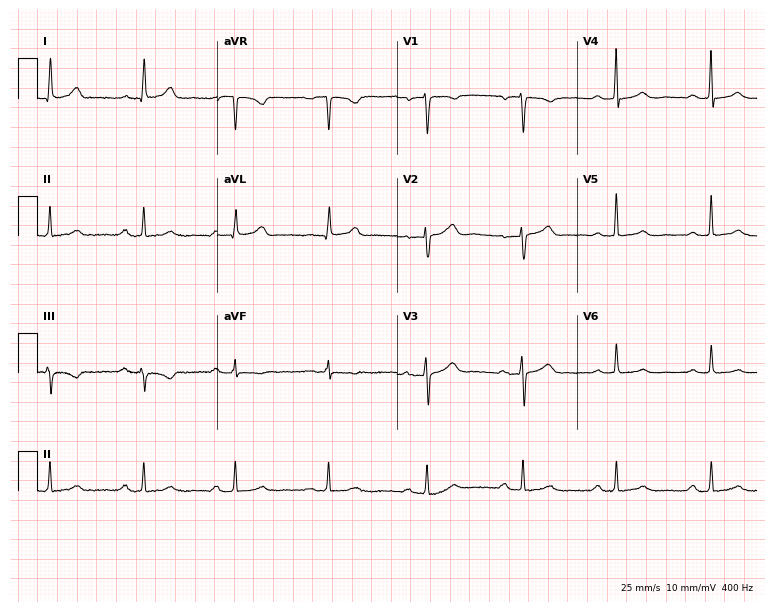
12-lead ECG from a female patient, 24 years old. Shows first-degree AV block.